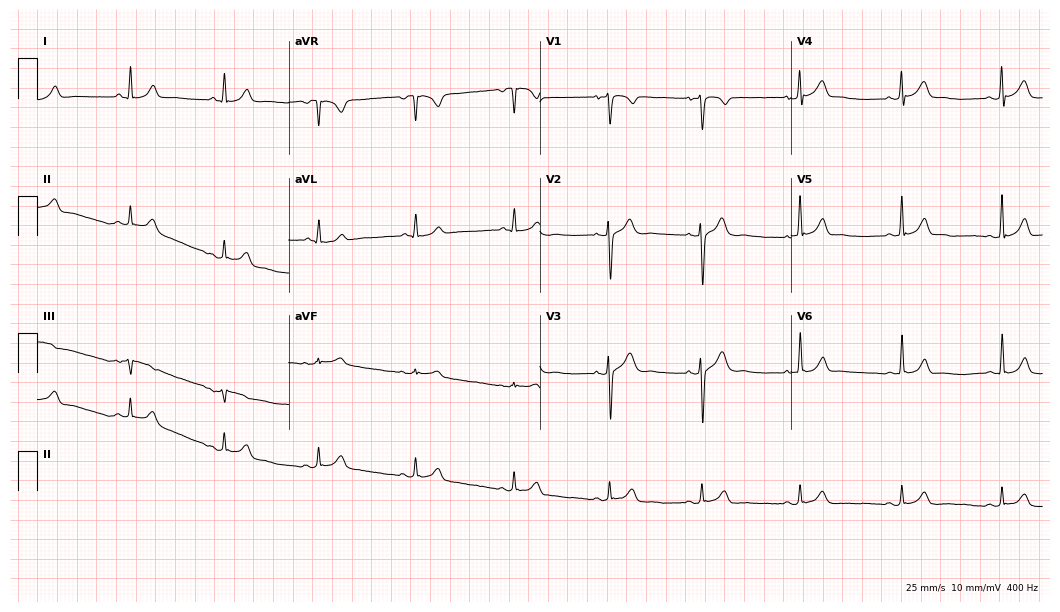
ECG (10.2-second recording at 400 Hz) — a man, 21 years old. Labelled as a normal ECG.